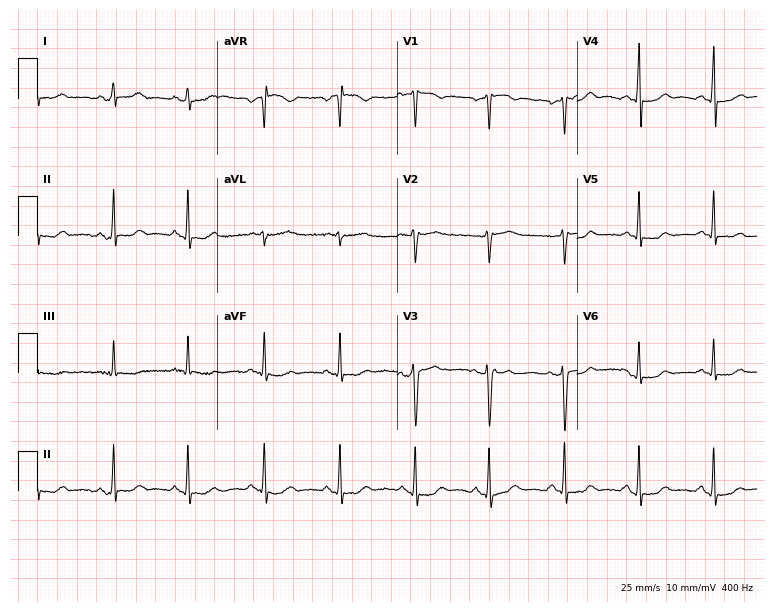
12-lead ECG from a female patient, 53 years old. No first-degree AV block, right bundle branch block, left bundle branch block, sinus bradycardia, atrial fibrillation or sinus tachycardia recorded for this tracing.